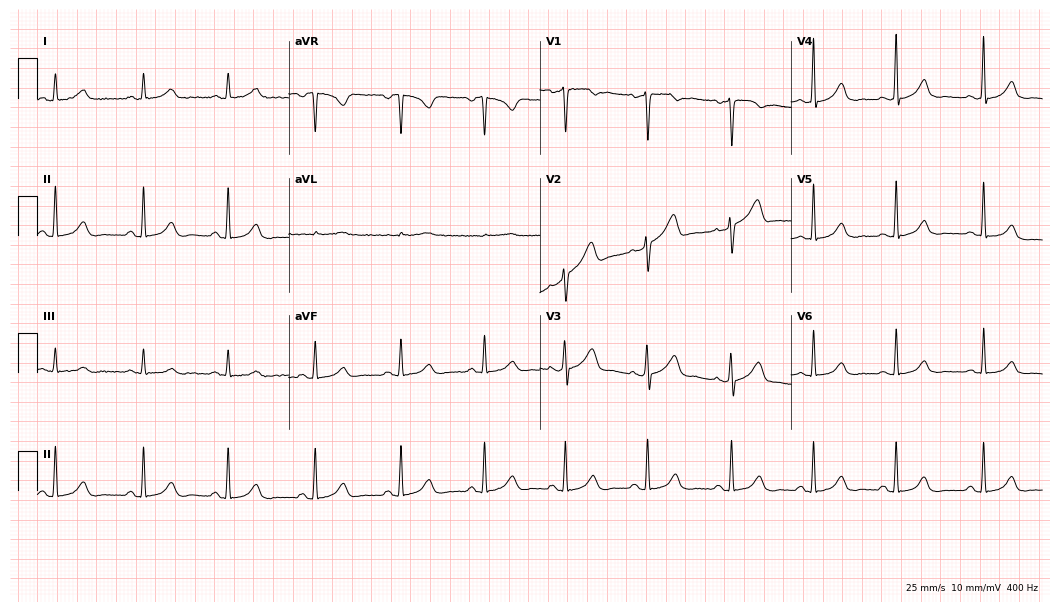
Electrocardiogram (10.2-second recording at 400 Hz), a 51-year-old female. Of the six screened findings (first-degree AV block, right bundle branch block (RBBB), left bundle branch block (LBBB), sinus bradycardia, atrial fibrillation (AF), sinus tachycardia), none is recorded. Findings outside these six are not listed.